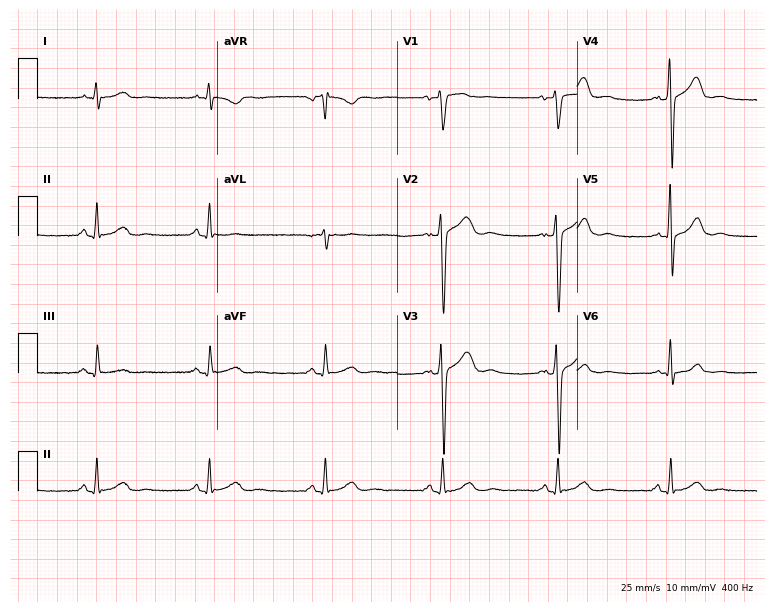
Resting 12-lead electrocardiogram (7.3-second recording at 400 Hz). Patient: a male, 47 years old. None of these six findings is recorded: first-degree AV block, right bundle branch block, left bundle branch block, sinus bradycardia, atrial fibrillation, sinus tachycardia. Other findings, if any, are not listed.